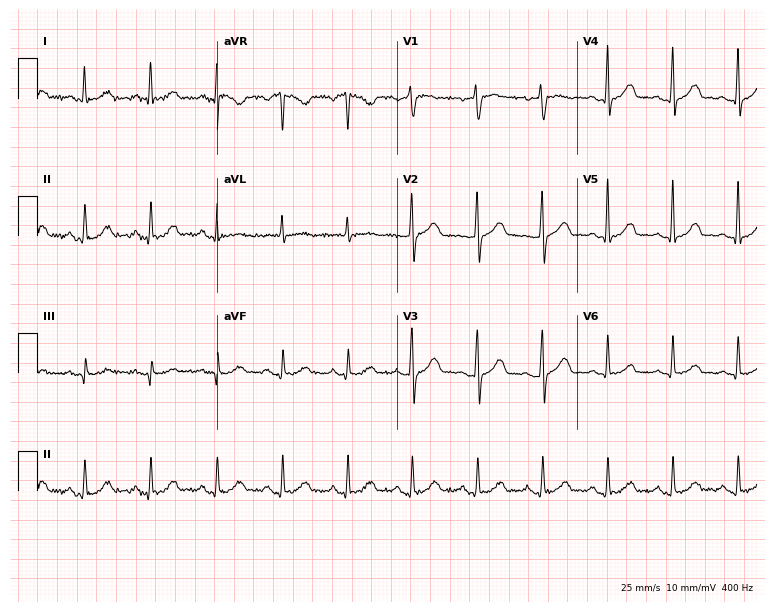
Resting 12-lead electrocardiogram. Patient: a 66-year-old woman. None of these six findings is recorded: first-degree AV block, right bundle branch block (RBBB), left bundle branch block (LBBB), sinus bradycardia, atrial fibrillation (AF), sinus tachycardia. Other findings, if any, are not listed.